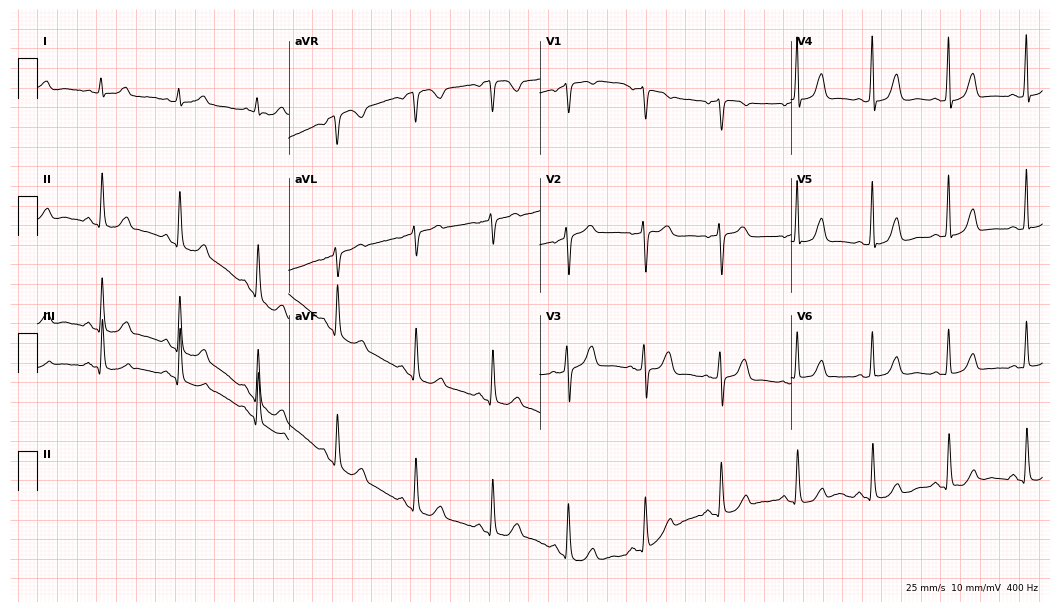
12-lead ECG (10.2-second recording at 400 Hz) from a female, 59 years old. Labelled as a normal ECG.